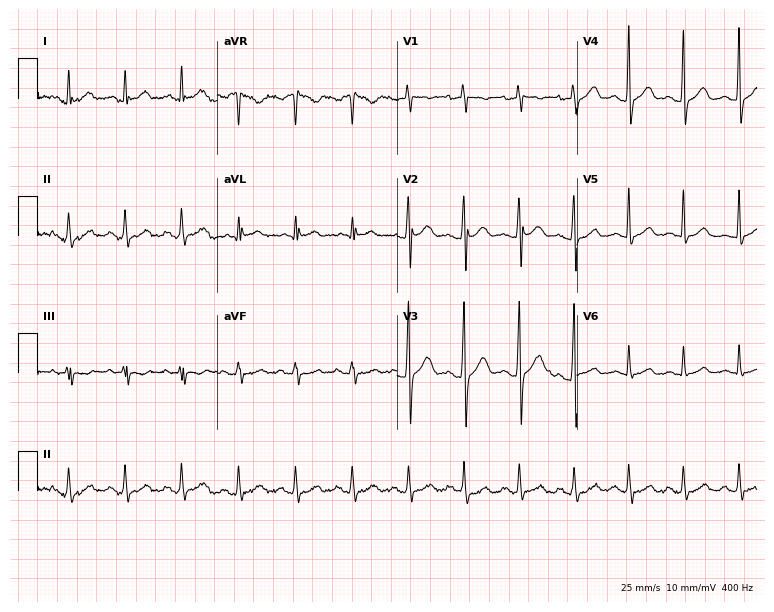
Resting 12-lead electrocardiogram (7.3-second recording at 400 Hz). Patient: a man, 24 years old. The tracing shows sinus tachycardia (a sinus rate of 100 beats per minute or more).